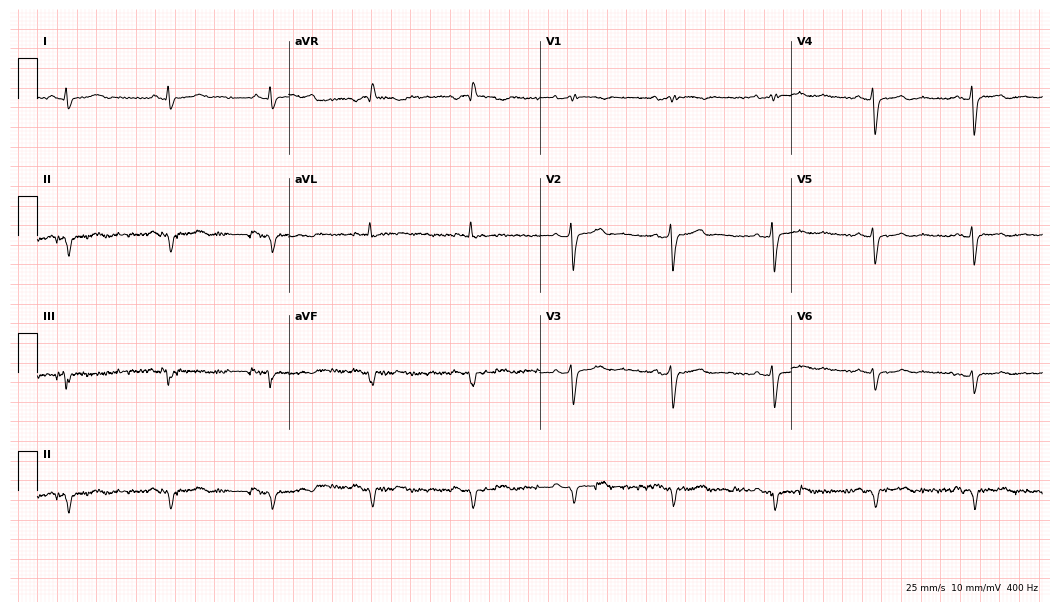
12-lead ECG (10.2-second recording at 400 Hz) from a 62-year-old female. Screened for six findings — first-degree AV block, right bundle branch block (RBBB), left bundle branch block (LBBB), sinus bradycardia, atrial fibrillation (AF), sinus tachycardia — none is recorded. Findings outside these six are not listed.